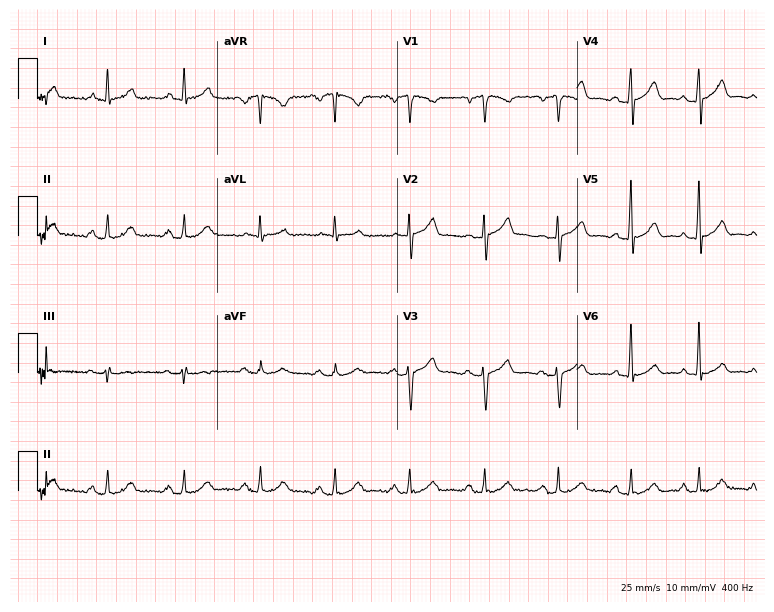
Standard 12-lead ECG recorded from a 48-year-old male. Read as a normal ECG.